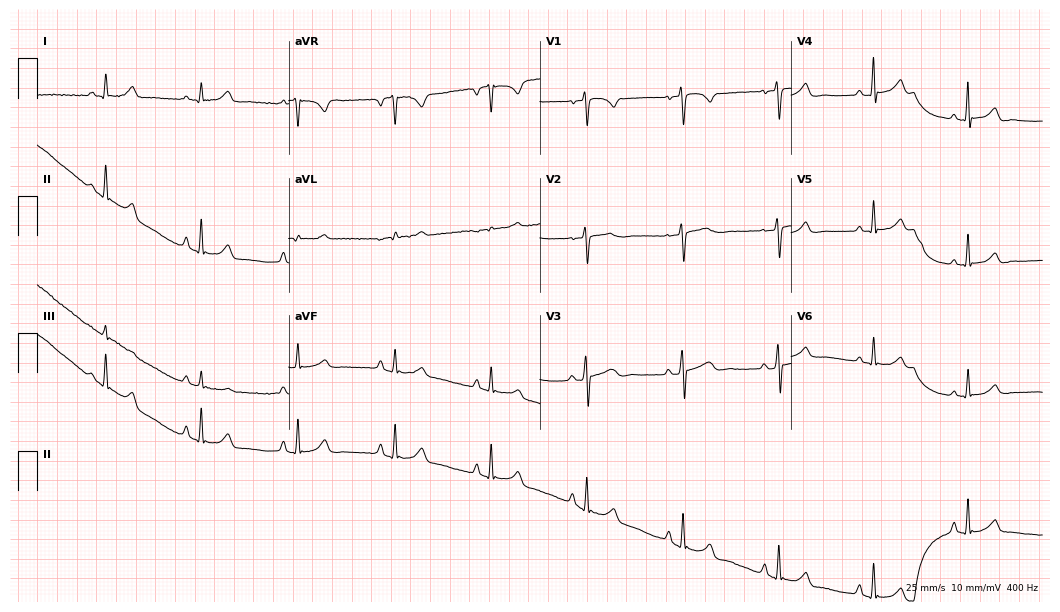
12-lead ECG from a 25-year-old female. Labelled as a normal ECG.